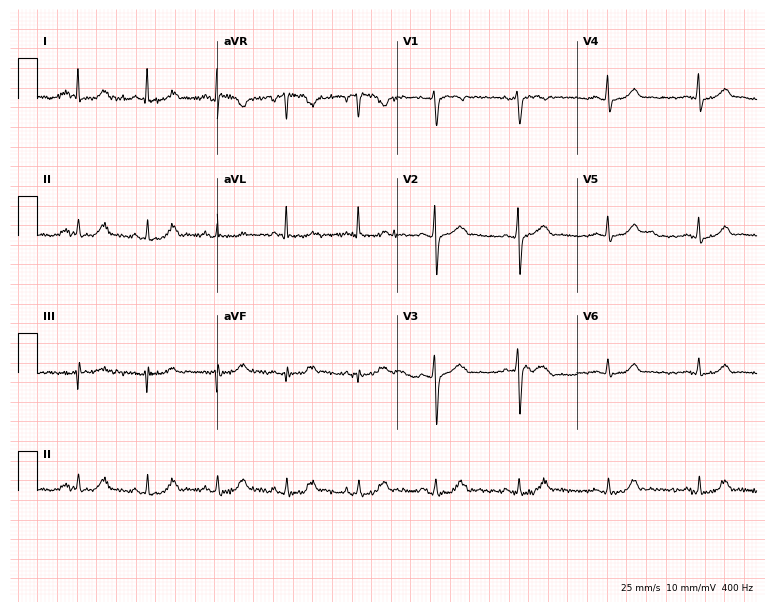
12-lead ECG from a woman, 34 years old. Recorded interpretation: within normal limits.